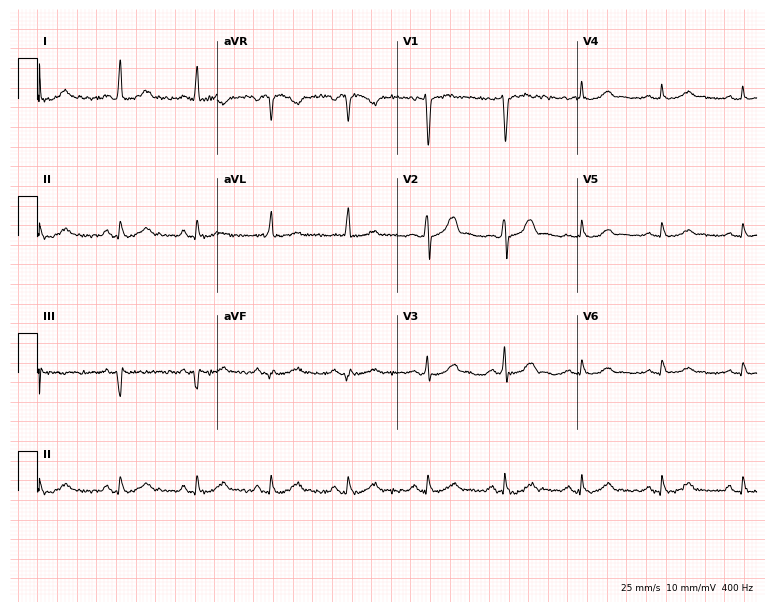
12-lead ECG from a 42-year-old female patient. Screened for six findings — first-degree AV block, right bundle branch block, left bundle branch block, sinus bradycardia, atrial fibrillation, sinus tachycardia — none is recorded. Findings outside these six are not listed.